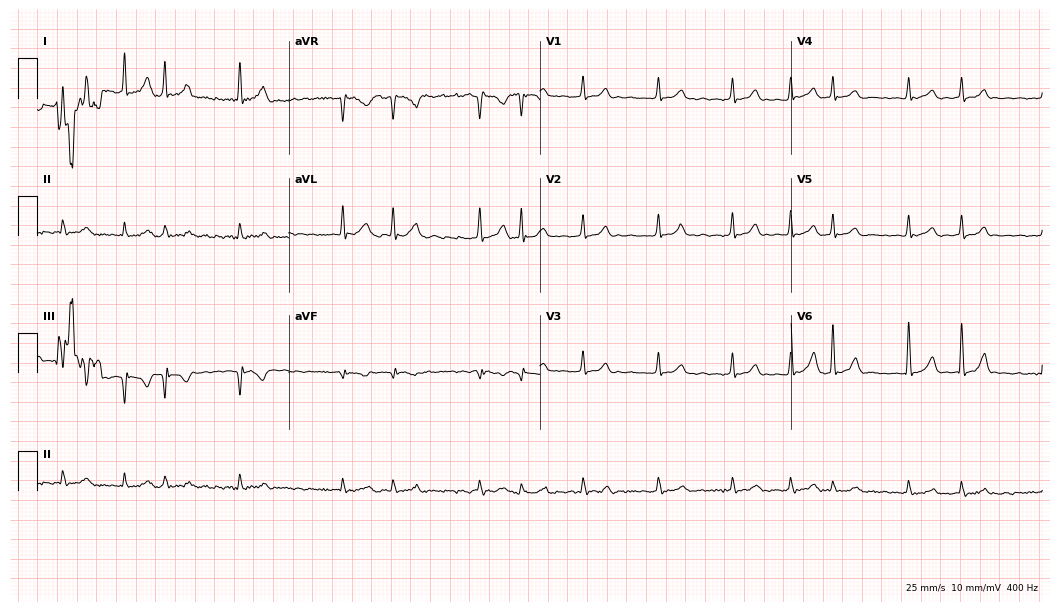
Electrocardiogram, an 83-year-old male patient. Interpretation includes atrial fibrillation.